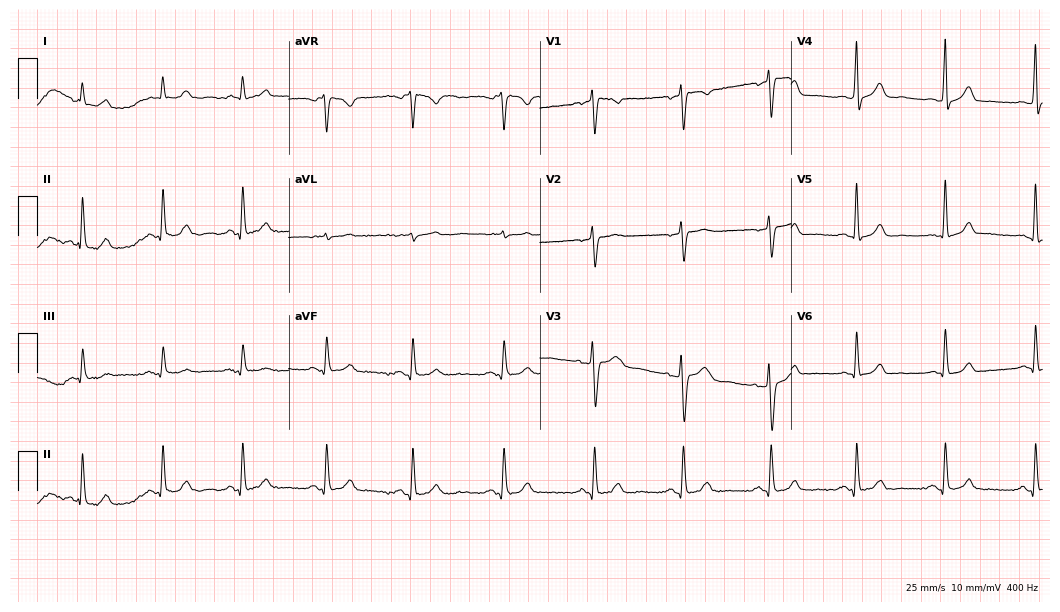
12-lead ECG from a 42-year-old woman. Recorded interpretation: within normal limits.